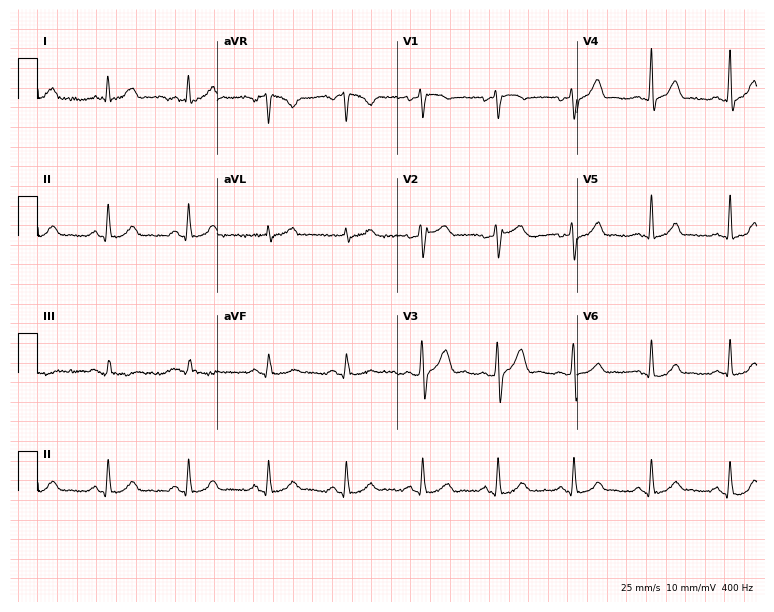
Standard 12-lead ECG recorded from a 47-year-old male (7.3-second recording at 400 Hz). Read as a normal ECG.